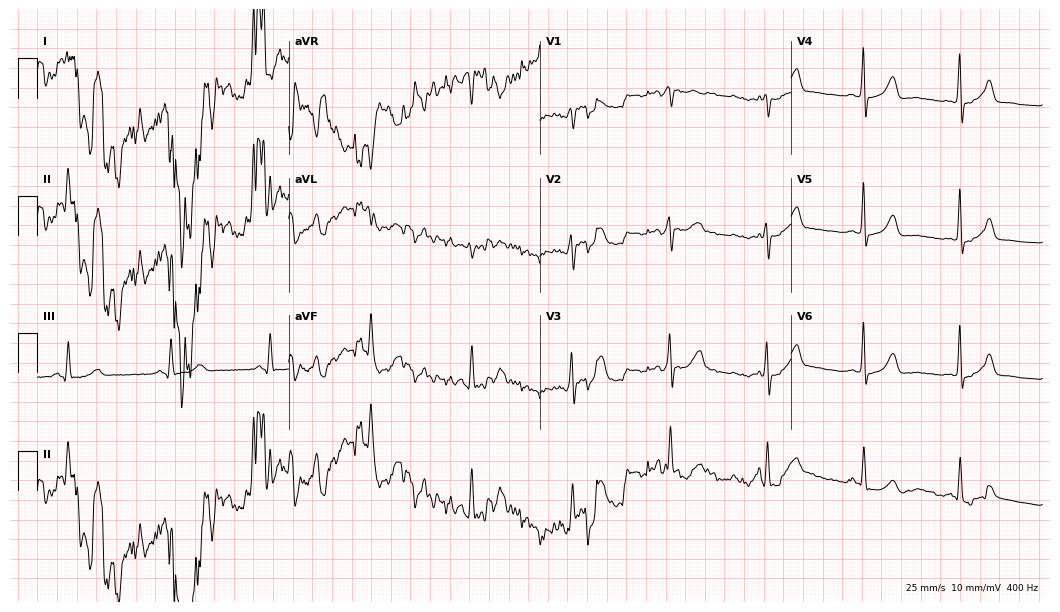
Resting 12-lead electrocardiogram (10.2-second recording at 400 Hz). Patient: a male, 59 years old. None of these six findings is recorded: first-degree AV block, right bundle branch block, left bundle branch block, sinus bradycardia, atrial fibrillation, sinus tachycardia. Findings outside these six are not listed.